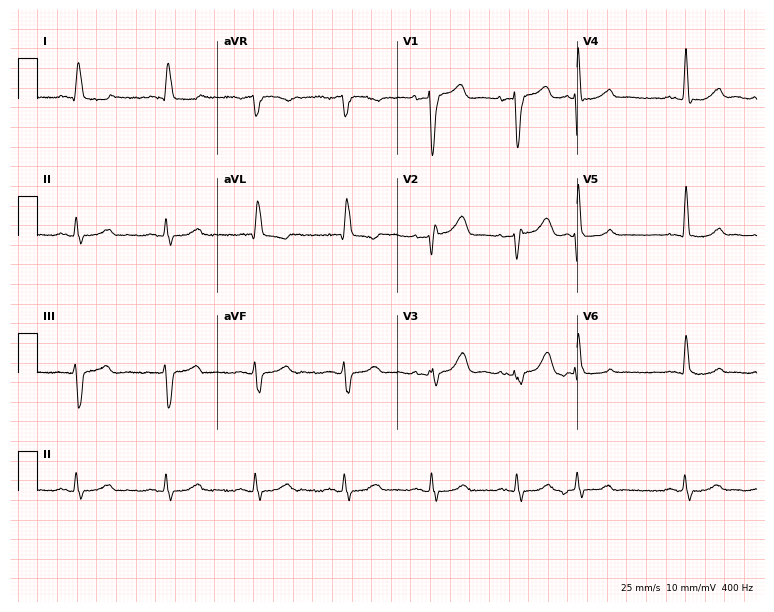
12-lead ECG from a man, 87 years old (7.3-second recording at 400 Hz). Shows right bundle branch block.